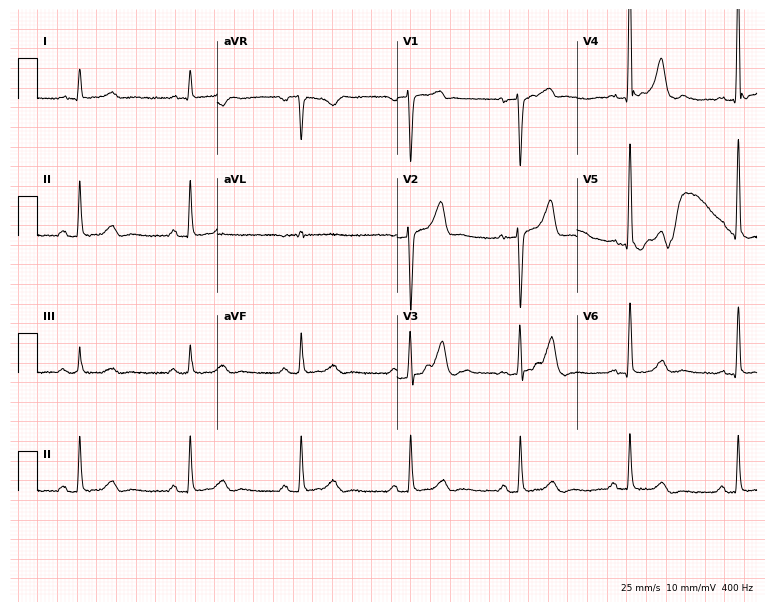
12-lead ECG from a 70-year-old man (7.3-second recording at 400 Hz). Recorded interpretation: within normal limits.